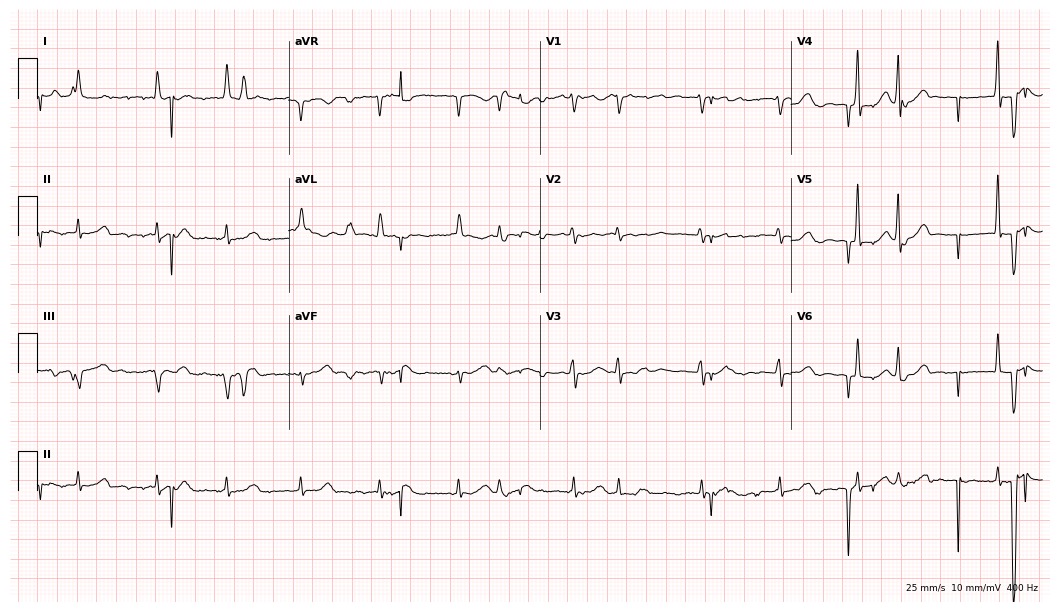
12-lead ECG from a female patient, 78 years old (10.2-second recording at 400 Hz). No first-degree AV block, right bundle branch block, left bundle branch block, sinus bradycardia, atrial fibrillation or sinus tachycardia recorded for this tracing. Findings outside these six are not listed.